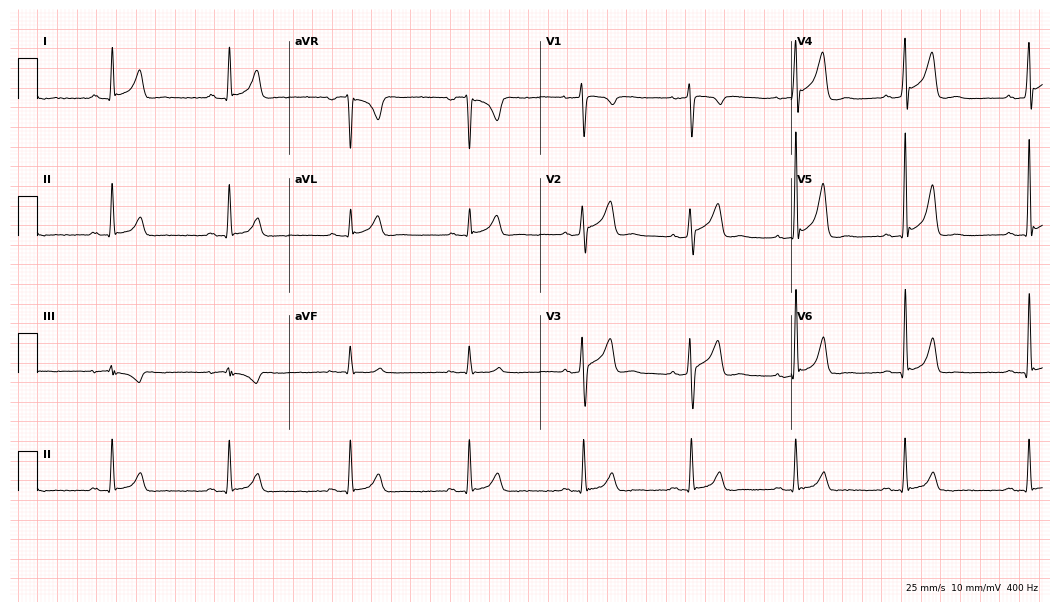
Standard 12-lead ECG recorded from a male, 38 years old. Read as a normal ECG.